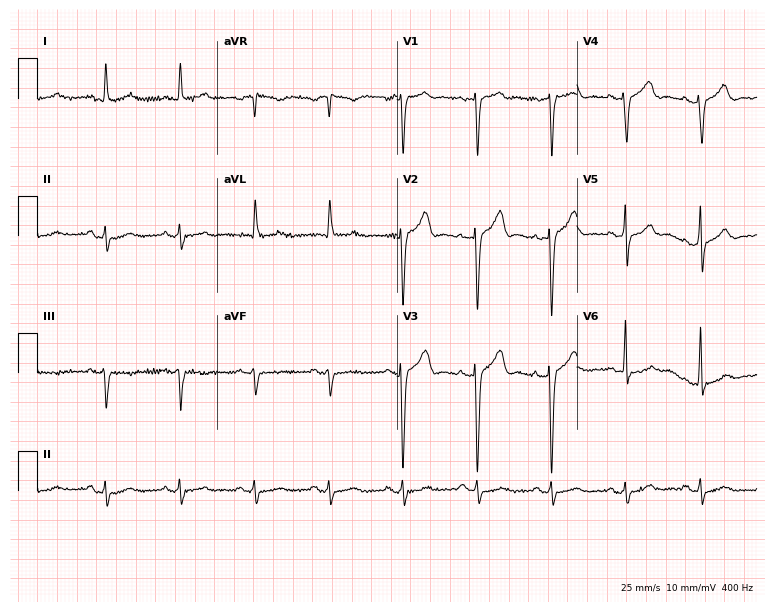
12-lead ECG from a male, 75 years old. No first-degree AV block, right bundle branch block, left bundle branch block, sinus bradycardia, atrial fibrillation or sinus tachycardia recorded for this tracing. Only these six findings were labelled.